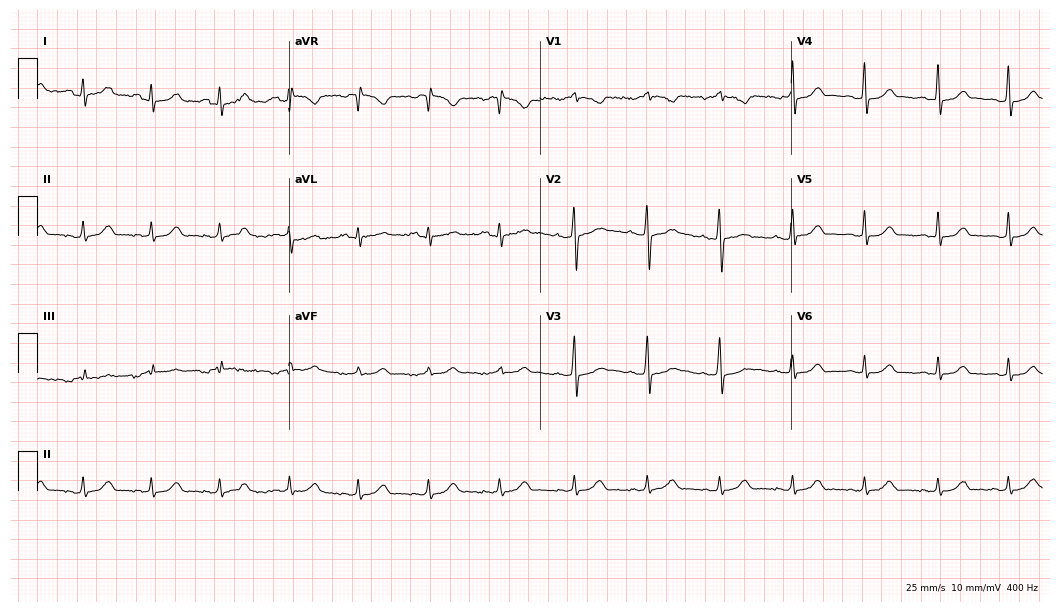
12-lead ECG from a 35-year-old female (10.2-second recording at 400 Hz). No first-degree AV block, right bundle branch block (RBBB), left bundle branch block (LBBB), sinus bradycardia, atrial fibrillation (AF) or sinus tachycardia recorded for this tracing.